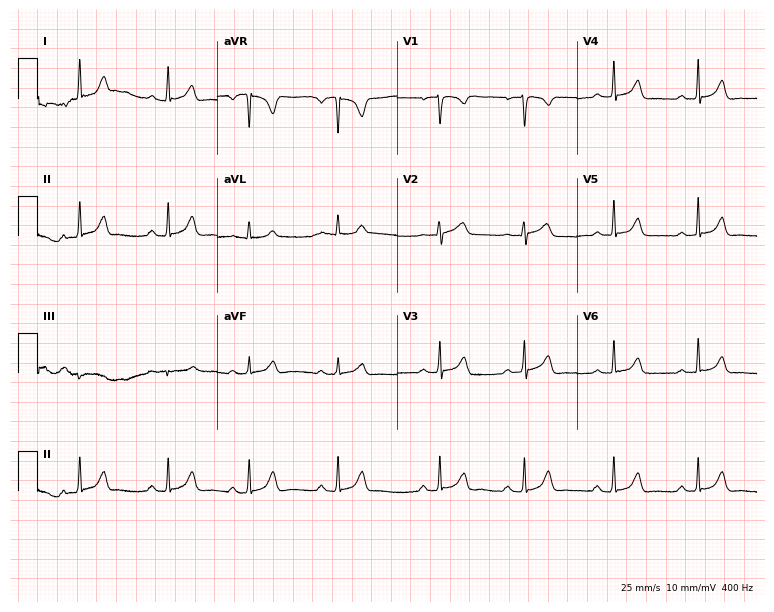
Standard 12-lead ECG recorded from a 37-year-old female patient. Read as a normal ECG.